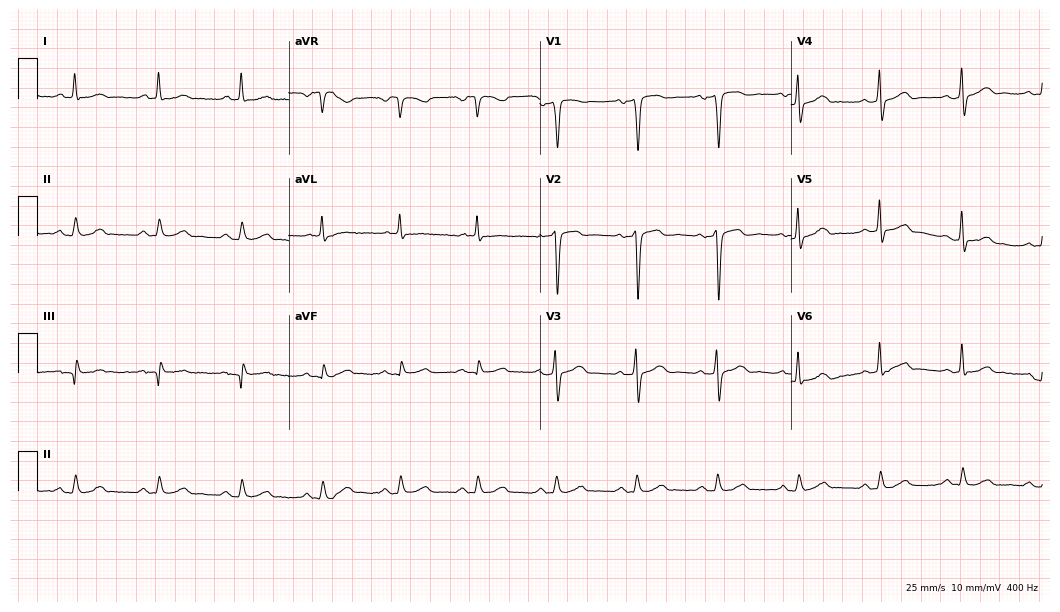
12-lead ECG from a 76-year-old male patient. Labelled as a normal ECG.